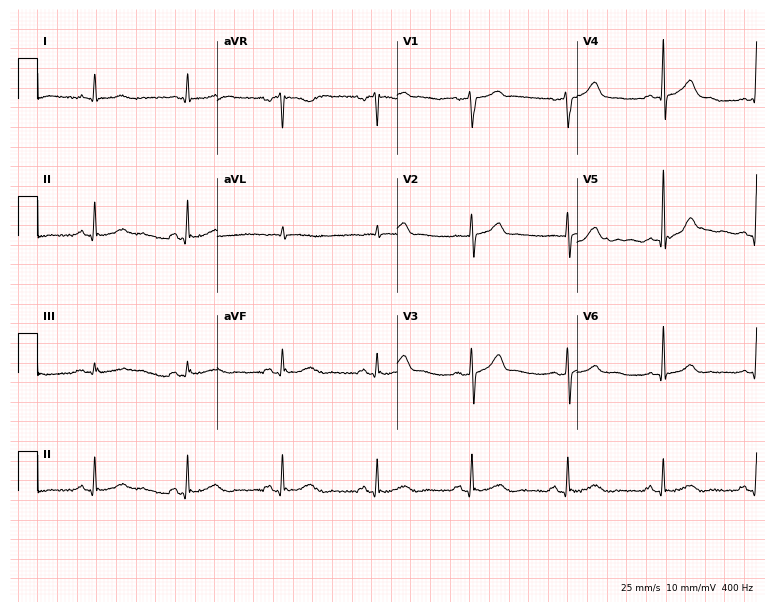
Resting 12-lead electrocardiogram. Patient: a 62-year-old male. Read as a normal ECG.